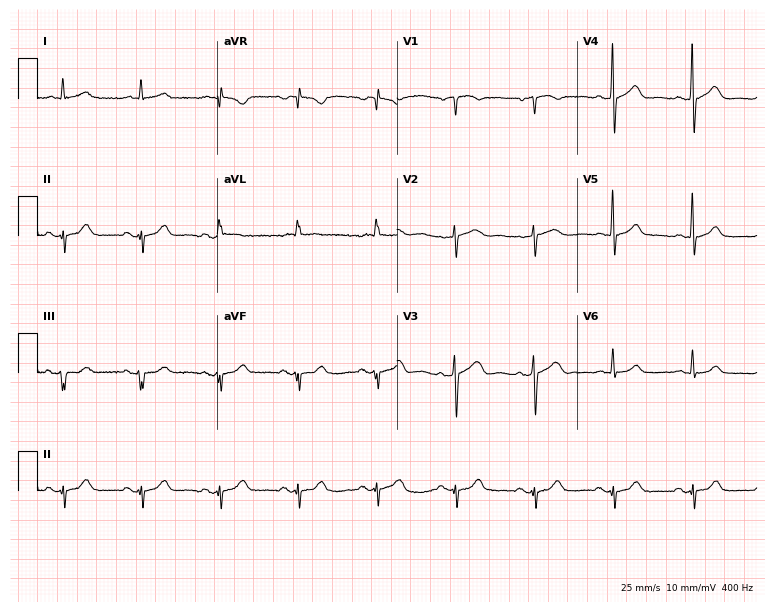
Standard 12-lead ECG recorded from a 75-year-old man (7.3-second recording at 400 Hz). None of these six findings is recorded: first-degree AV block, right bundle branch block, left bundle branch block, sinus bradycardia, atrial fibrillation, sinus tachycardia.